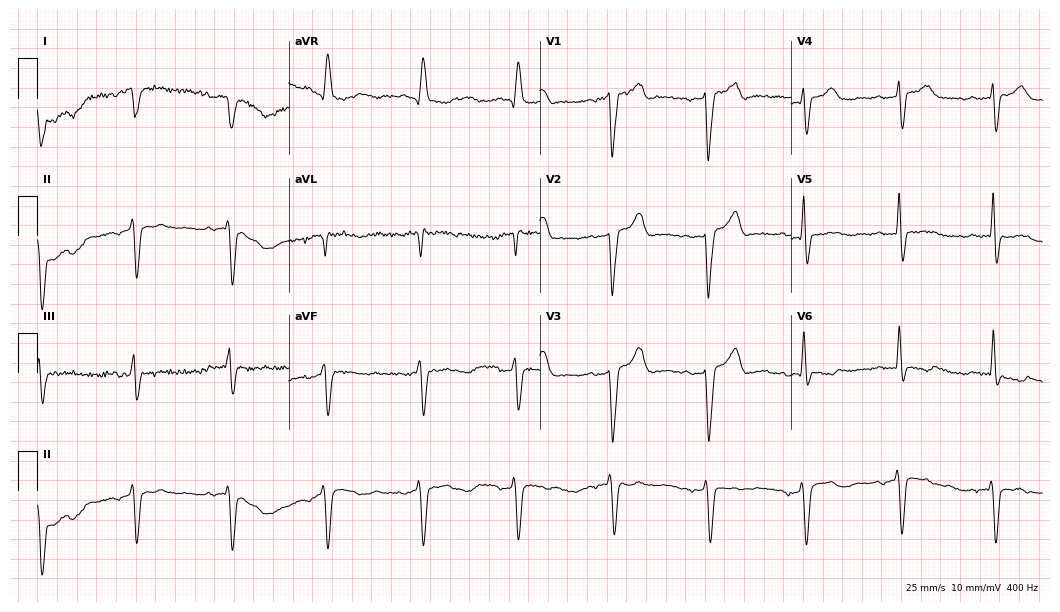
Standard 12-lead ECG recorded from a female patient, 84 years old. None of these six findings is recorded: first-degree AV block, right bundle branch block (RBBB), left bundle branch block (LBBB), sinus bradycardia, atrial fibrillation (AF), sinus tachycardia. Other findings, if any, are not listed.